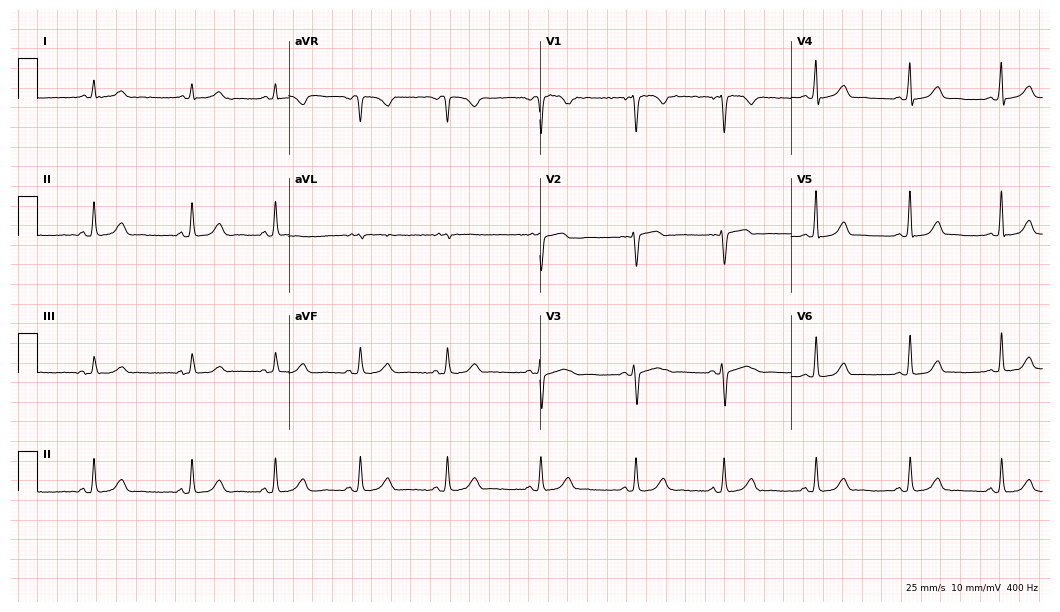
Resting 12-lead electrocardiogram. Patient: a female, 31 years old. None of these six findings is recorded: first-degree AV block, right bundle branch block, left bundle branch block, sinus bradycardia, atrial fibrillation, sinus tachycardia. Only these six findings were labelled.